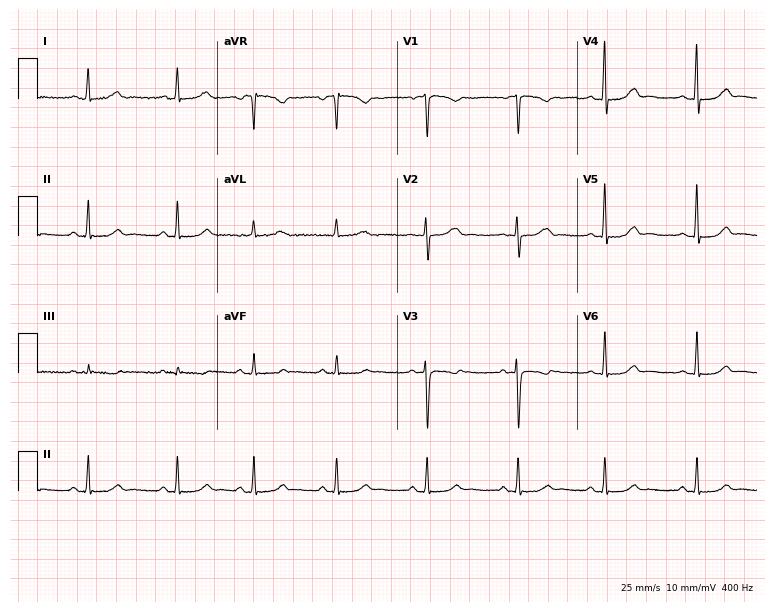
Electrocardiogram, a female, 22 years old. Overall reading on record: normal ECG.